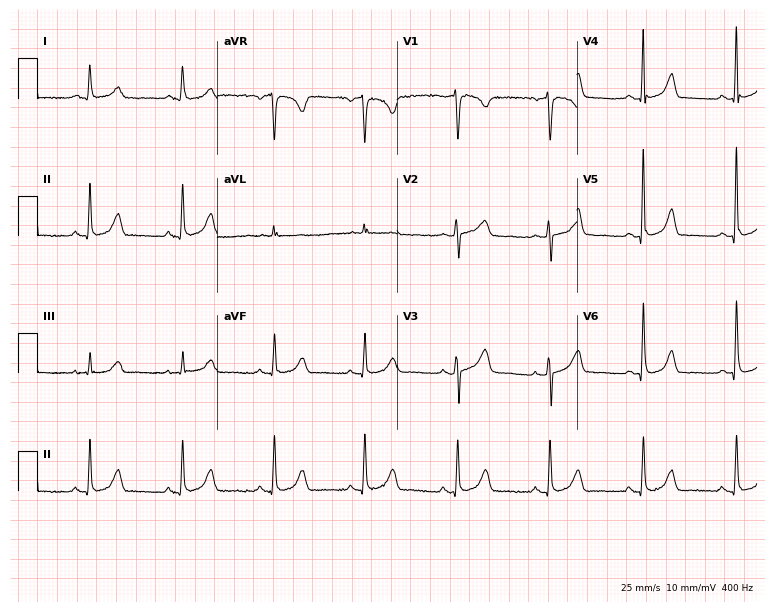
Resting 12-lead electrocardiogram (7.3-second recording at 400 Hz). Patient: a 65-year-old female. Read as a normal ECG.